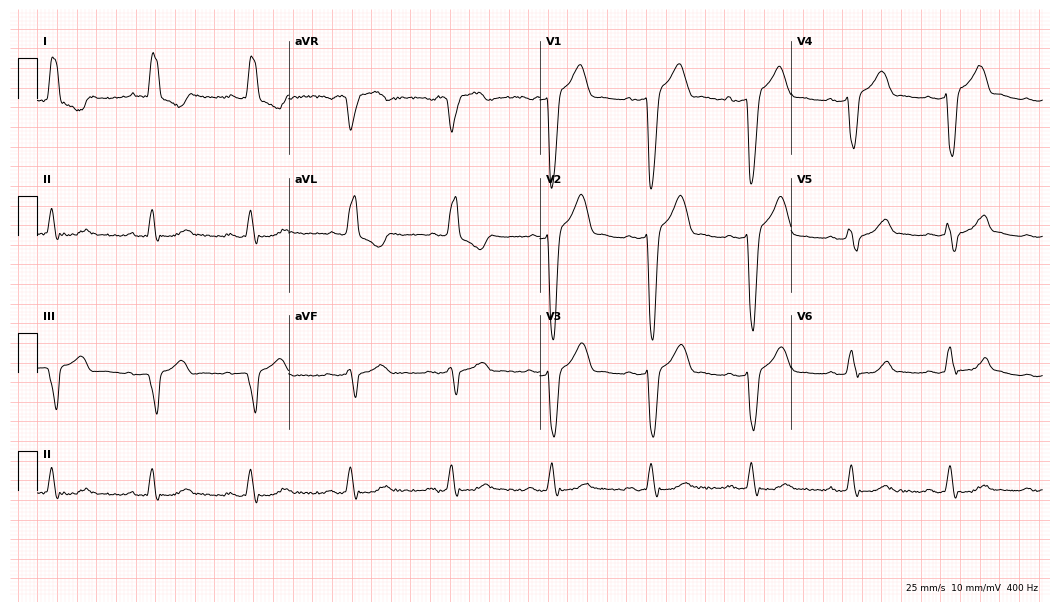
Standard 12-lead ECG recorded from a male patient, 79 years old. The tracing shows left bundle branch block (LBBB).